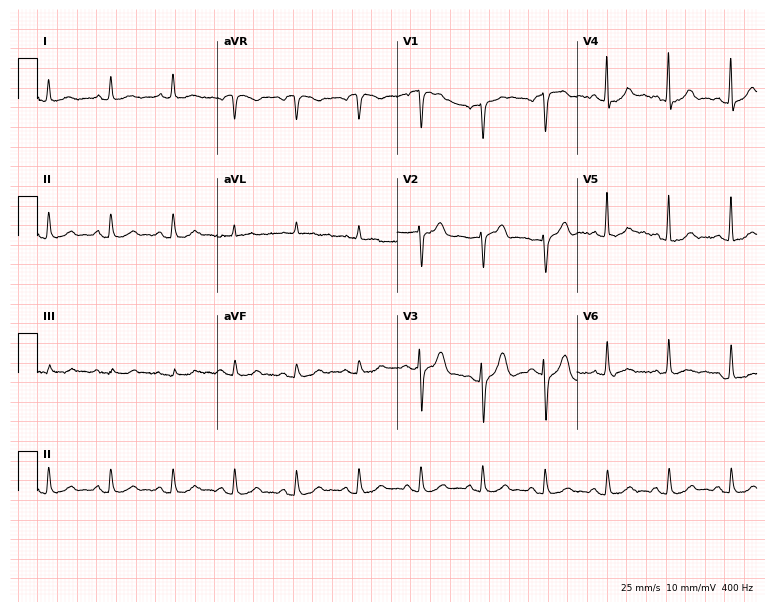
Standard 12-lead ECG recorded from a man, 66 years old. Read as a normal ECG.